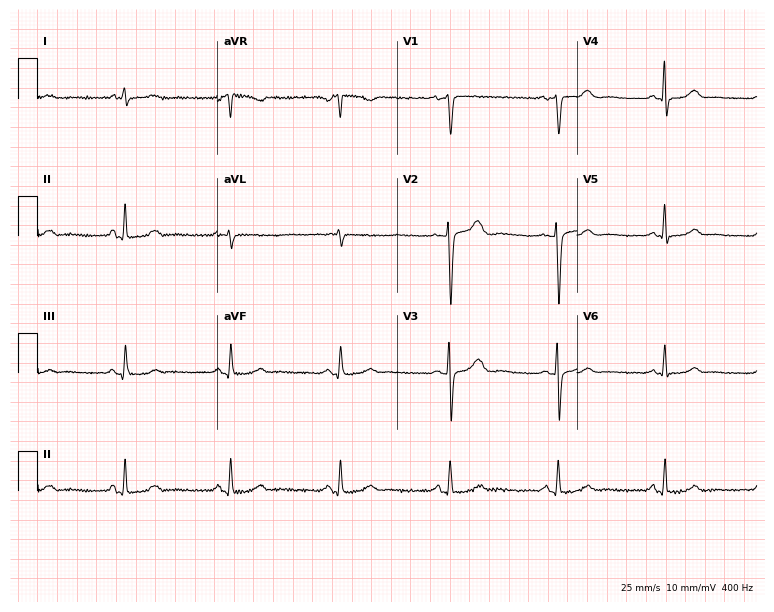
Resting 12-lead electrocardiogram. Patient: a 41-year-old female. None of these six findings is recorded: first-degree AV block, right bundle branch block, left bundle branch block, sinus bradycardia, atrial fibrillation, sinus tachycardia.